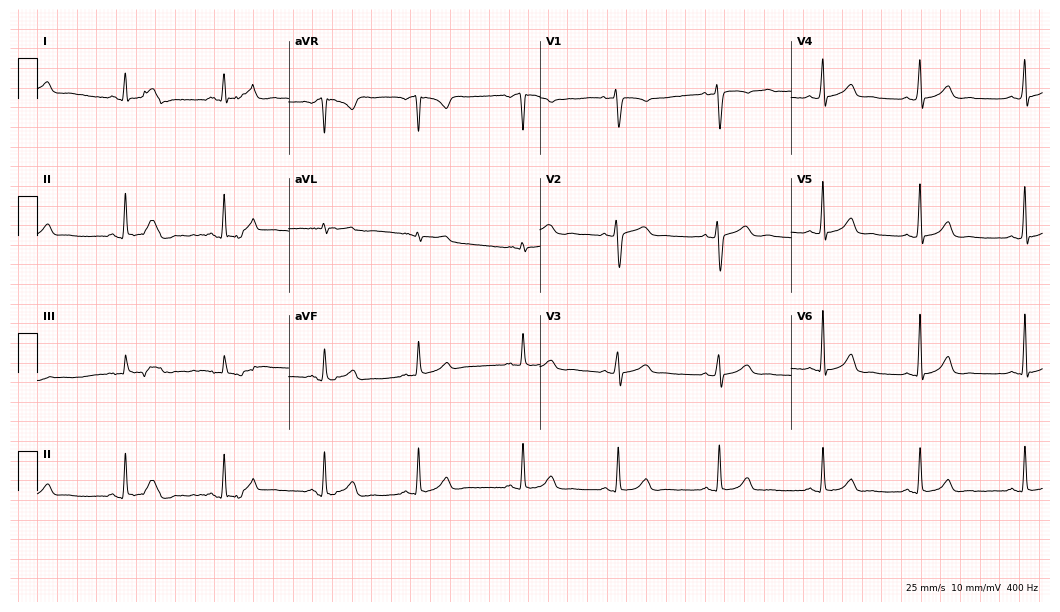
12-lead ECG from a woman, 38 years old (10.2-second recording at 400 Hz). No first-degree AV block, right bundle branch block (RBBB), left bundle branch block (LBBB), sinus bradycardia, atrial fibrillation (AF) or sinus tachycardia recorded for this tracing. Findings outside these six are not listed.